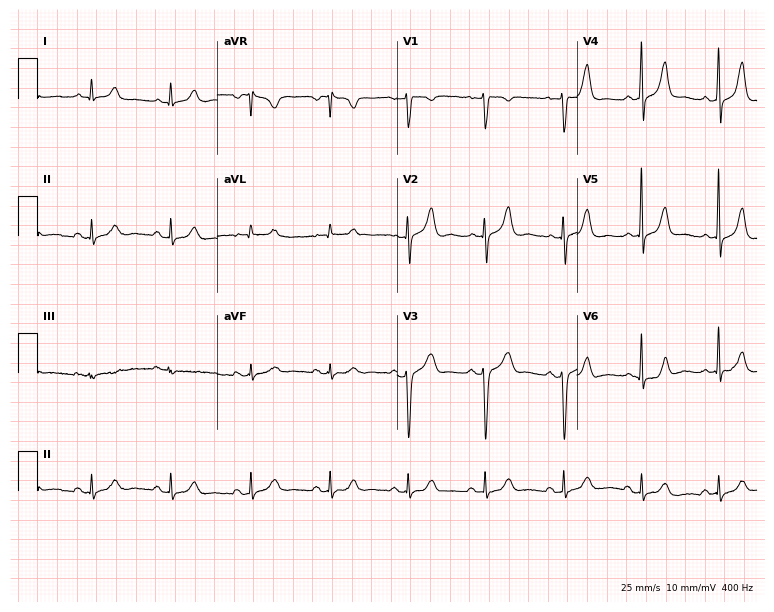
Standard 12-lead ECG recorded from a 43-year-old female patient (7.3-second recording at 400 Hz). Read as a normal ECG.